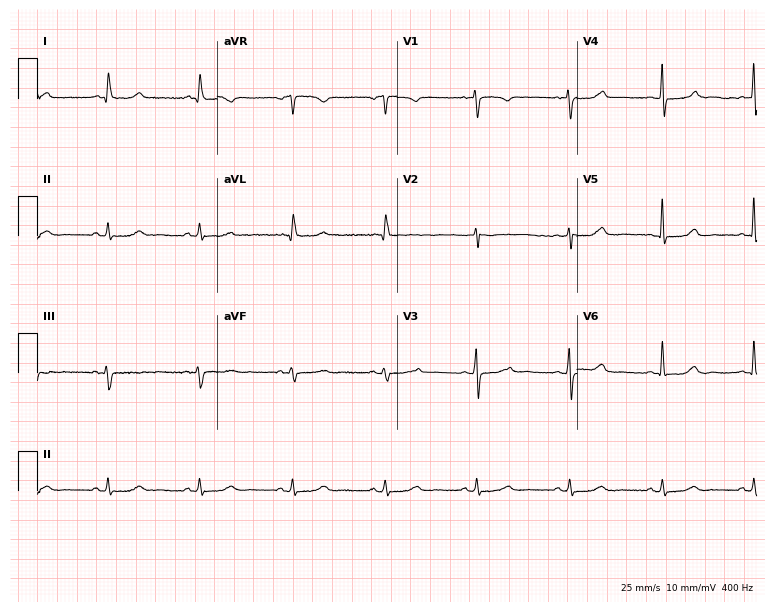
Resting 12-lead electrocardiogram. Patient: a female, 69 years old. None of these six findings is recorded: first-degree AV block, right bundle branch block, left bundle branch block, sinus bradycardia, atrial fibrillation, sinus tachycardia.